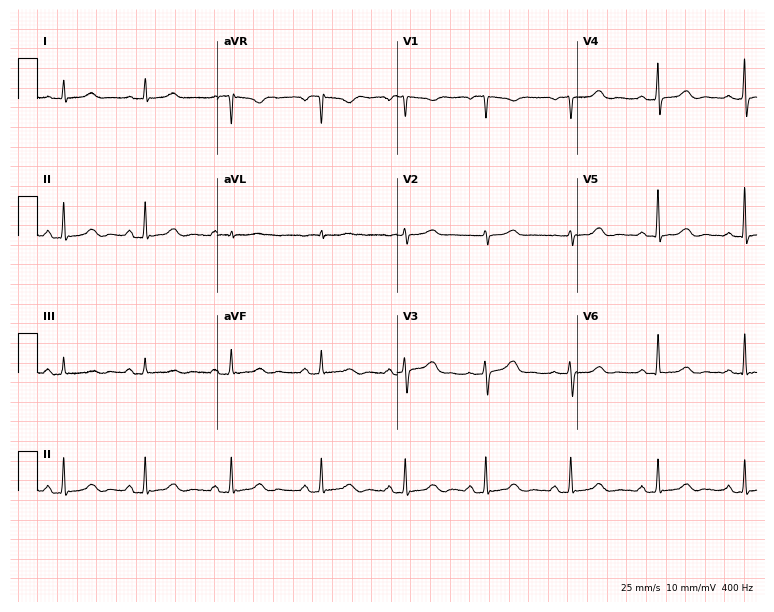
ECG — a 55-year-old woman. Labelled as a normal ECG.